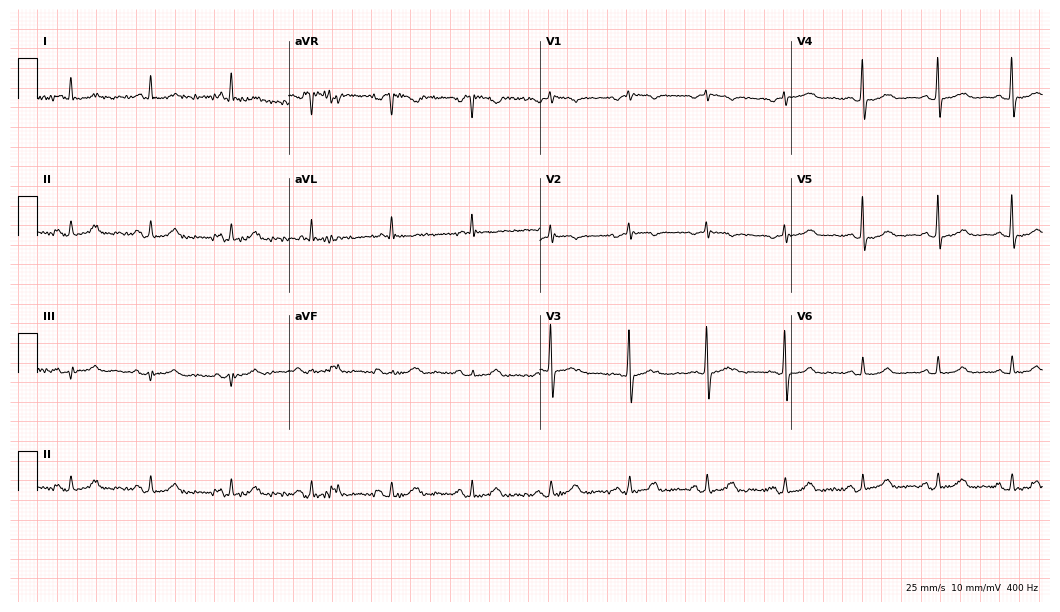
12-lead ECG from a female patient, 58 years old (10.2-second recording at 400 Hz). No first-degree AV block, right bundle branch block, left bundle branch block, sinus bradycardia, atrial fibrillation or sinus tachycardia recorded for this tracing. Findings outside these six are not listed.